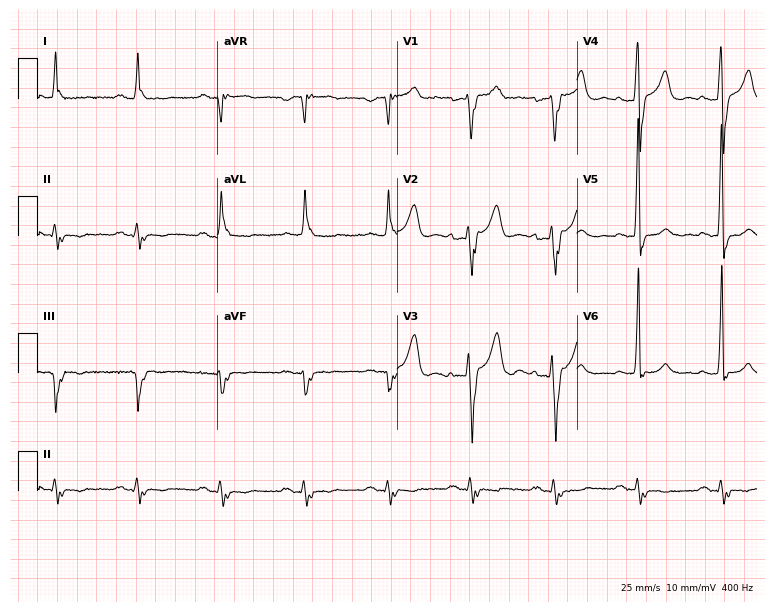
Standard 12-lead ECG recorded from a male patient, 43 years old. None of these six findings is recorded: first-degree AV block, right bundle branch block (RBBB), left bundle branch block (LBBB), sinus bradycardia, atrial fibrillation (AF), sinus tachycardia. Only these six findings were labelled.